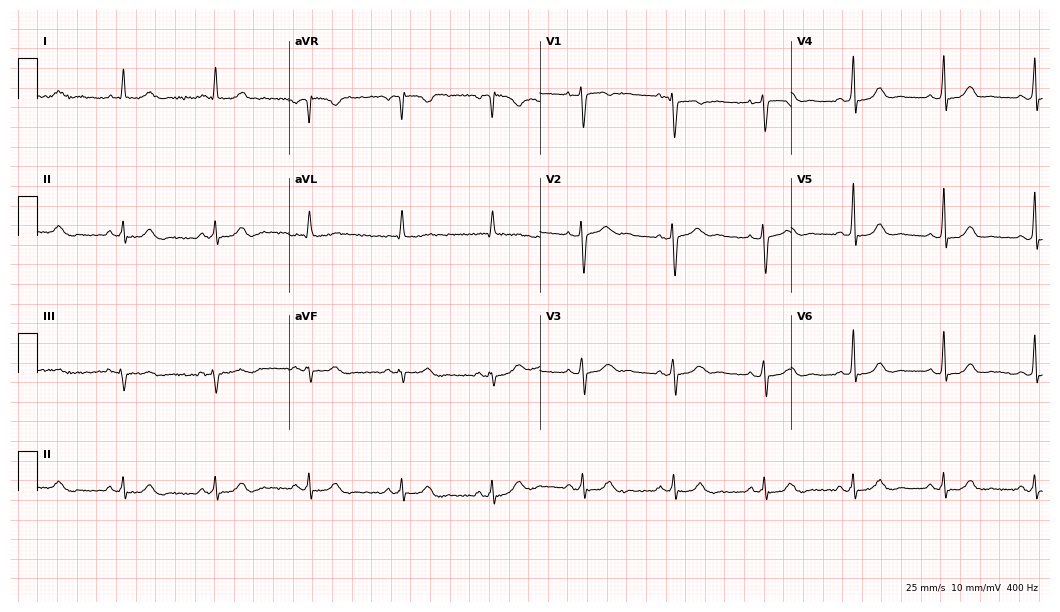
Electrocardiogram, a woman, 57 years old. Overall reading on record: normal ECG.